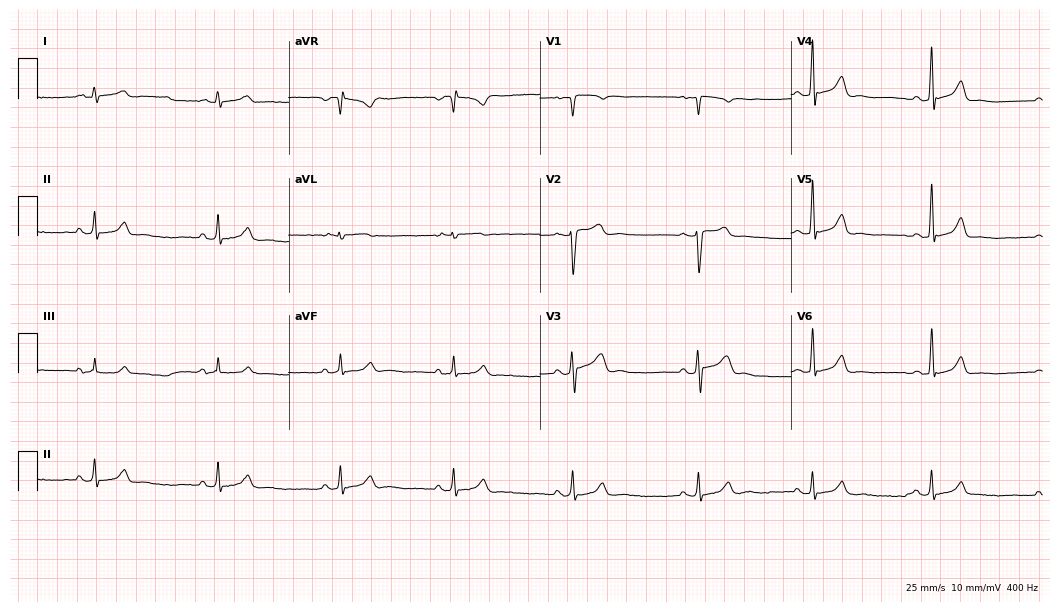
12-lead ECG from a 39-year-old male patient (10.2-second recording at 400 Hz). No first-degree AV block, right bundle branch block (RBBB), left bundle branch block (LBBB), sinus bradycardia, atrial fibrillation (AF) or sinus tachycardia recorded for this tracing. Findings outside these six are not listed.